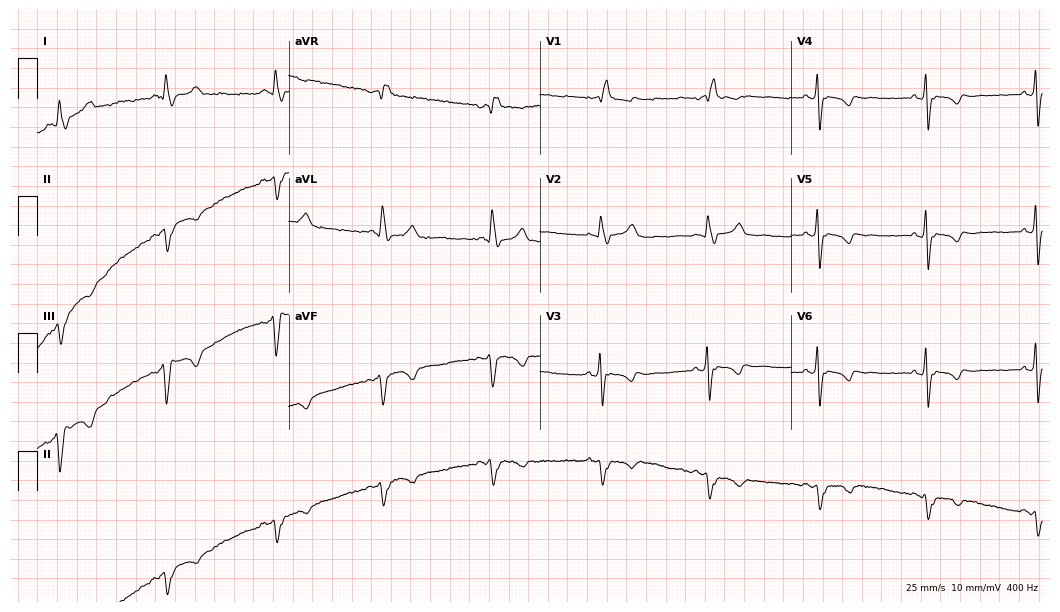
ECG — a 77-year-old male patient. Findings include right bundle branch block (RBBB).